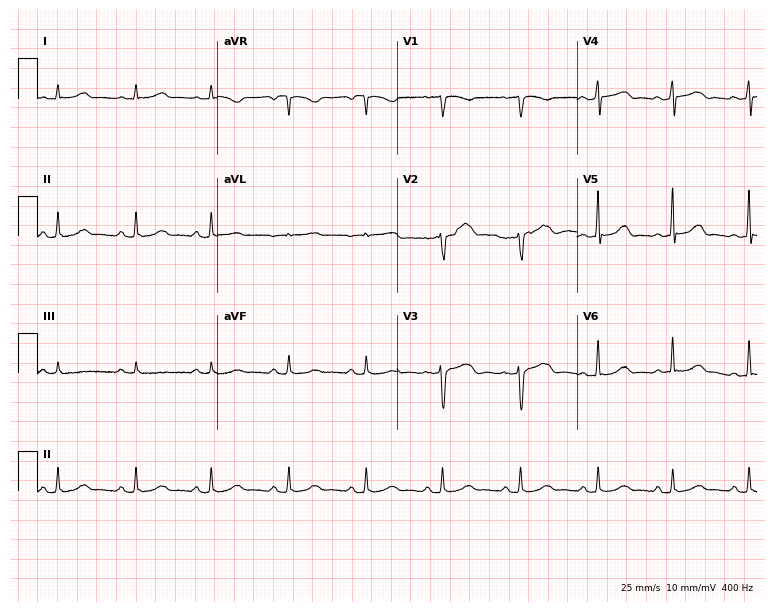
12-lead ECG from a 35-year-old woman (7.3-second recording at 400 Hz). No first-degree AV block, right bundle branch block (RBBB), left bundle branch block (LBBB), sinus bradycardia, atrial fibrillation (AF) or sinus tachycardia recorded for this tracing.